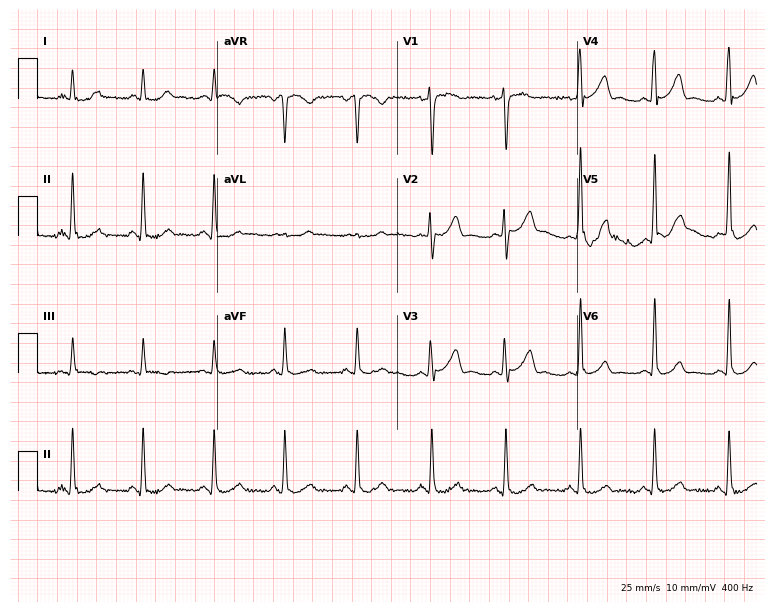
ECG (7.3-second recording at 400 Hz) — a man, 64 years old. Screened for six findings — first-degree AV block, right bundle branch block (RBBB), left bundle branch block (LBBB), sinus bradycardia, atrial fibrillation (AF), sinus tachycardia — none is recorded. Only these six findings were labelled.